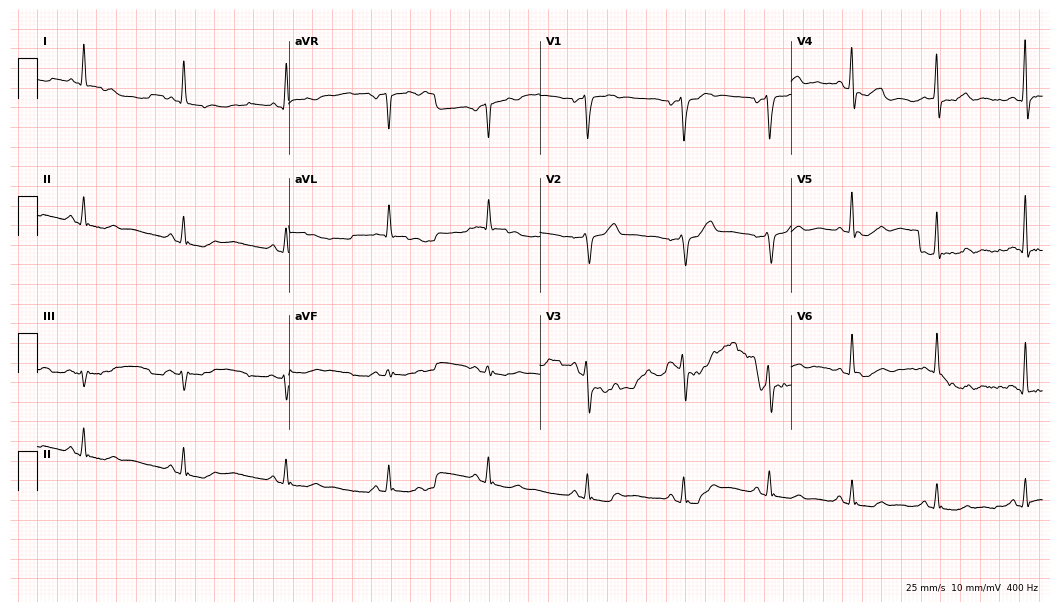
12-lead ECG from a 66-year-old male patient. No first-degree AV block, right bundle branch block, left bundle branch block, sinus bradycardia, atrial fibrillation or sinus tachycardia recorded for this tracing. Other findings, if any, are not listed.